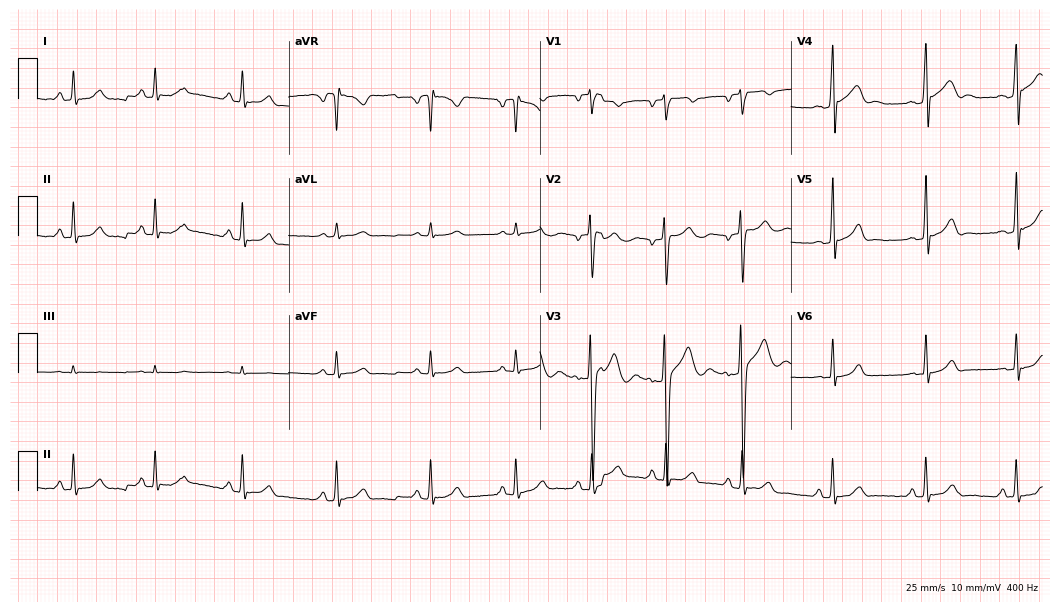
Resting 12-lead electrocardiogram. Patient: an 18-year-old man. Read as a normal ECG.